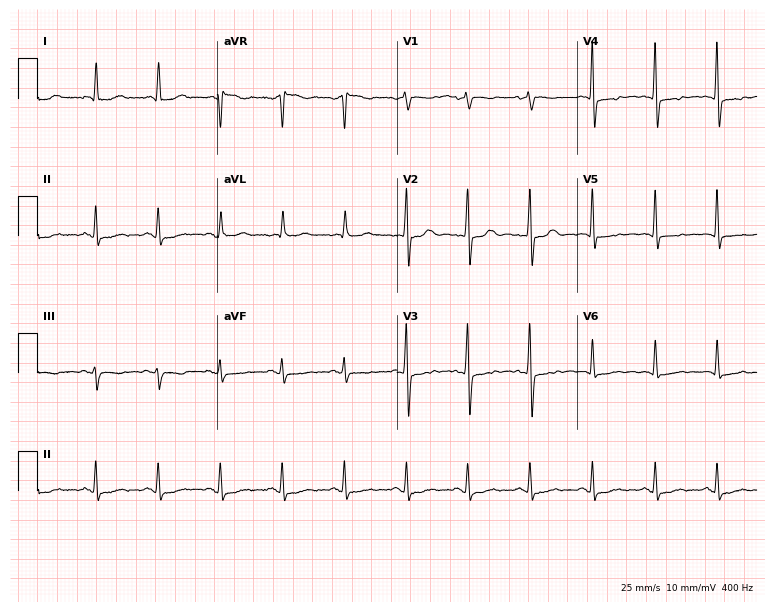
Standard 12-lead ECG recorded from a female, 73 years old (7.3-second recording at 400 Hz). None of these six findings is recorded: first-degree AV block, right bundle branch block (RBBB), left bundle branch block (LBBB), sinus bradycardia, atrial fibrillation (AF), sinus tachycardia. Only these six findings were labelled.